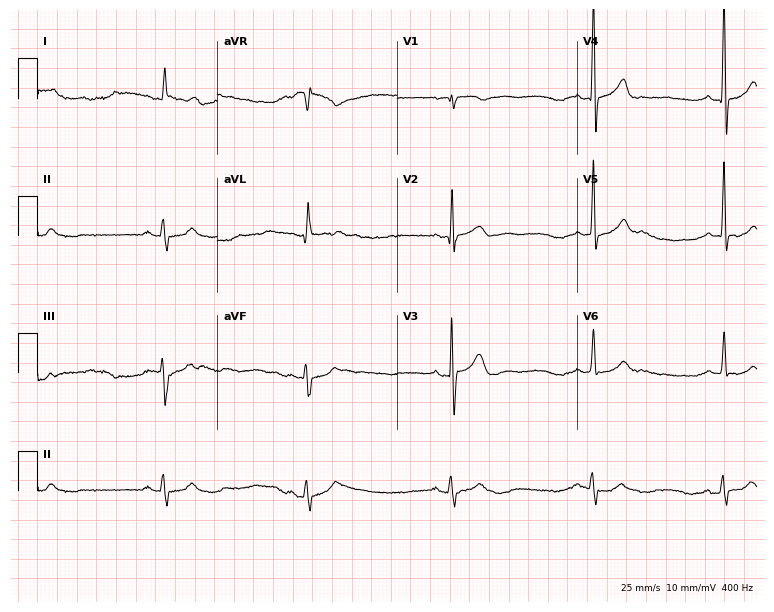
Resting 12-lead electrocardiogram (7.3-second recording at 400 Hz). Patient: a male, 78 years old. None of these six findings is recorded: first-degree AV block, right bundle branch block, left bundle branch block, sinus bradycardia, atrial fibrillation, sinus tachycardia. Only these six findings were labelled.